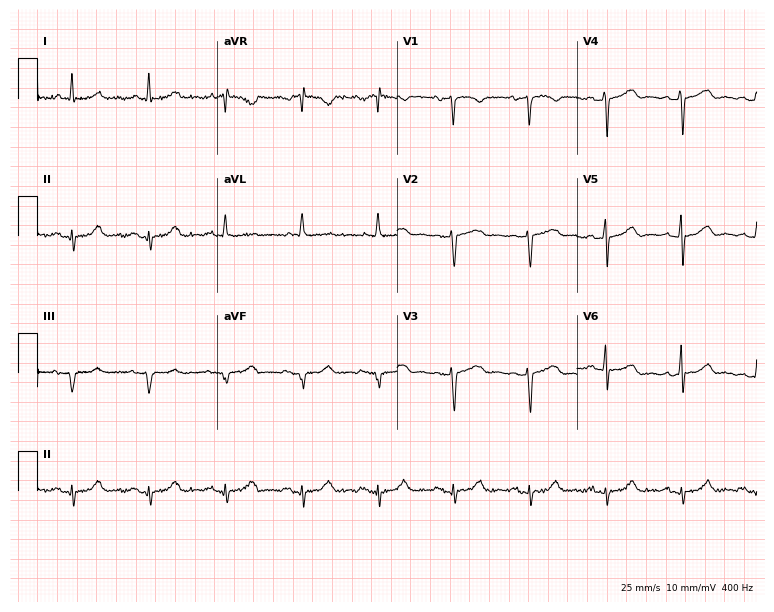
Electrocardiogram (7.3-second recording at 400 Hz), a male, 69 years old. Of the six screened findings (first-degree AV block, right bundle branch block, left bundle branch block, sinus bradycardia, atrial fibrillation, sinus tachycardia), none is recorded.